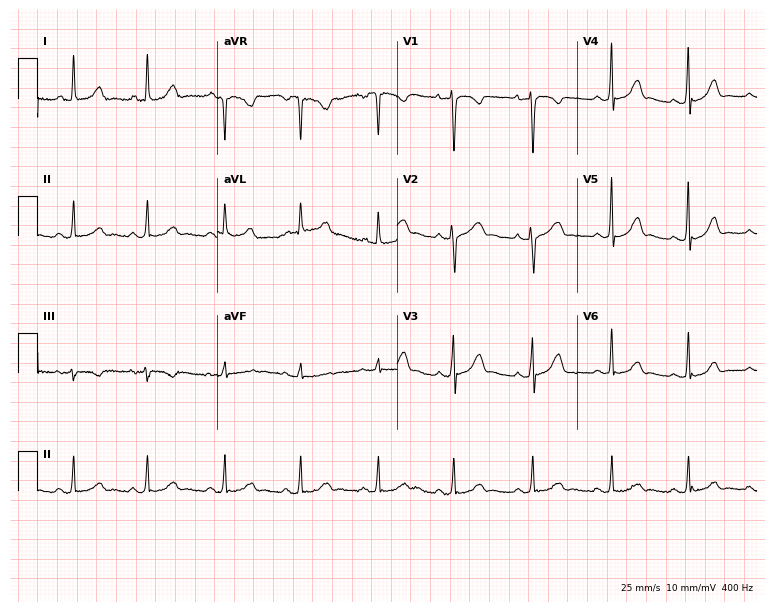
12-lead ECG from a female, 21 years old (7.3-second recording at 400 Hz). Recorded interpretation: within normal limits.